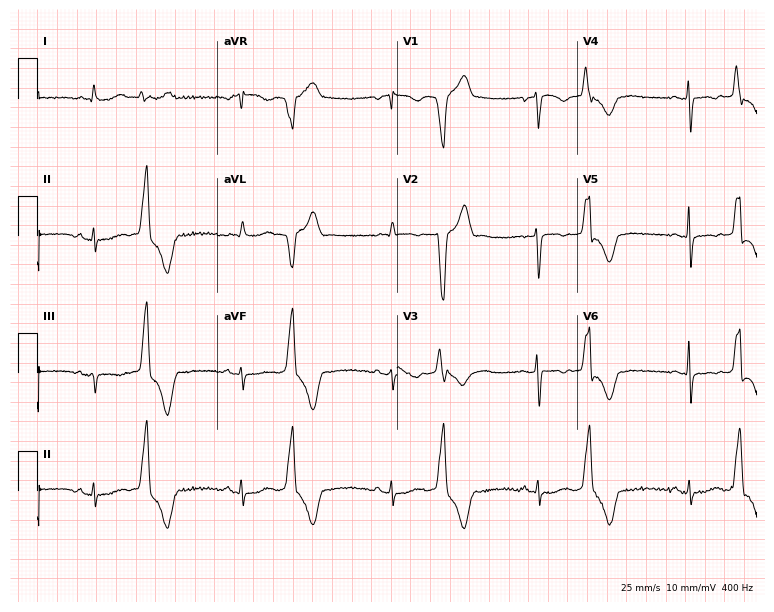
Electrocardiogram (7.3-second recording at 400 Hz), a female patient, 41 years old. Of the six screened findings (first-degree AV block, right bundle branch block, left bundle branch block, sinus bradycardia, atrial fibrillation, sinus tachycardia), none is recorded. Other findings, if any, are not listed.